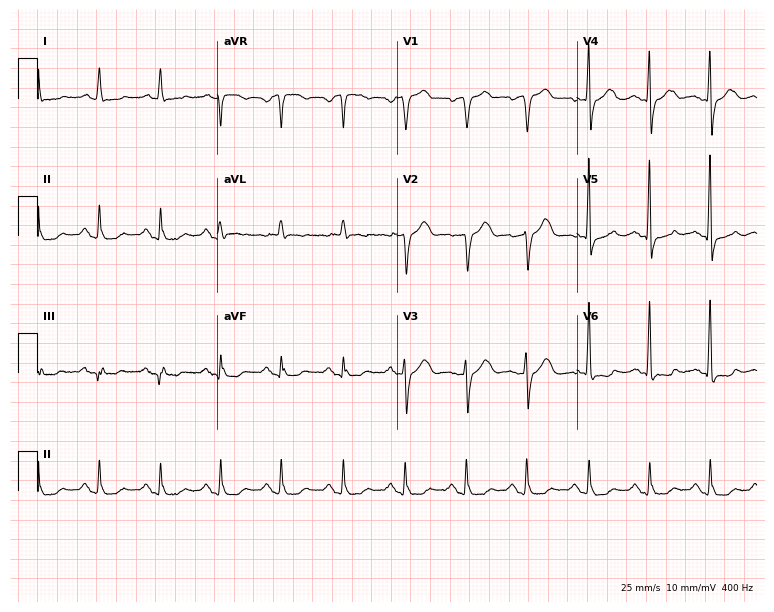
12-lead ECG from a female patient, 77 years old. Screened for six findings — first-degree AV block, right bundle branch block, left bundle branch block, sinus bradycardia, atrial fibrillation, sinus tachycardia — none is recorded.